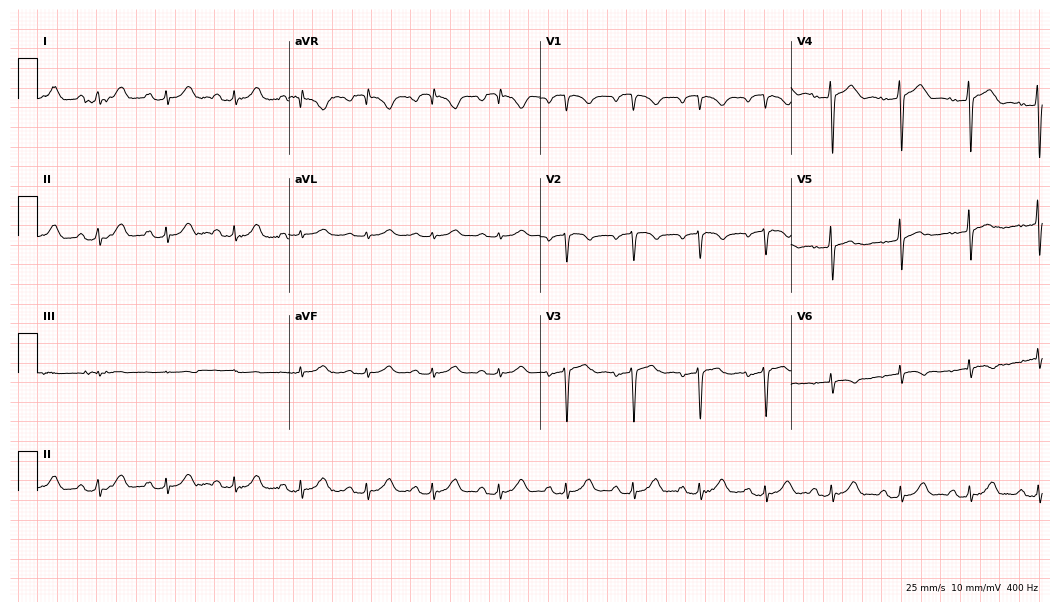
Standard 12-lead ECG recorded from a man, 76 years old (10.2-second recording at 400 Hz). None of these six findings is recorded: first-degree AV block, right bundle branch block, left bundle branch block, sinus bradycardia, atrial fibrillation, sinus tachycardia.